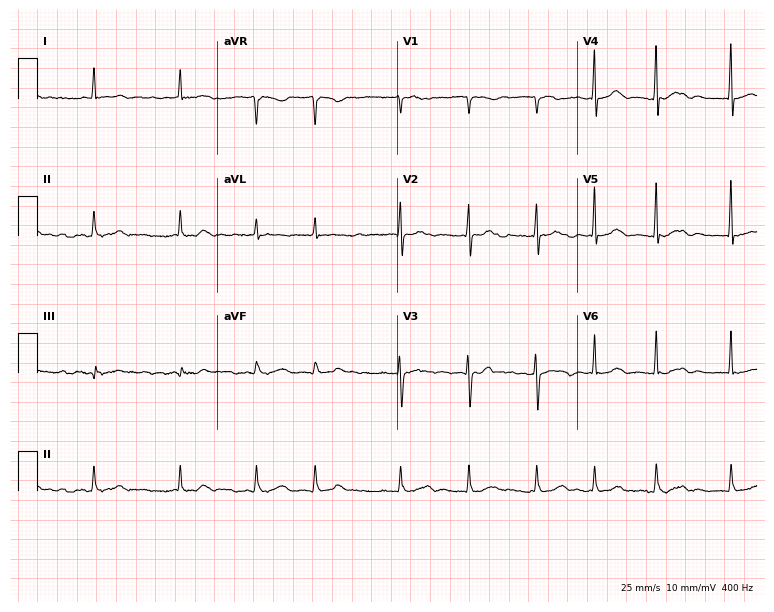
ECG (7.3-second recording at 400 Hz) — a woman, 84 years old. Findings include atrial fibrillation.